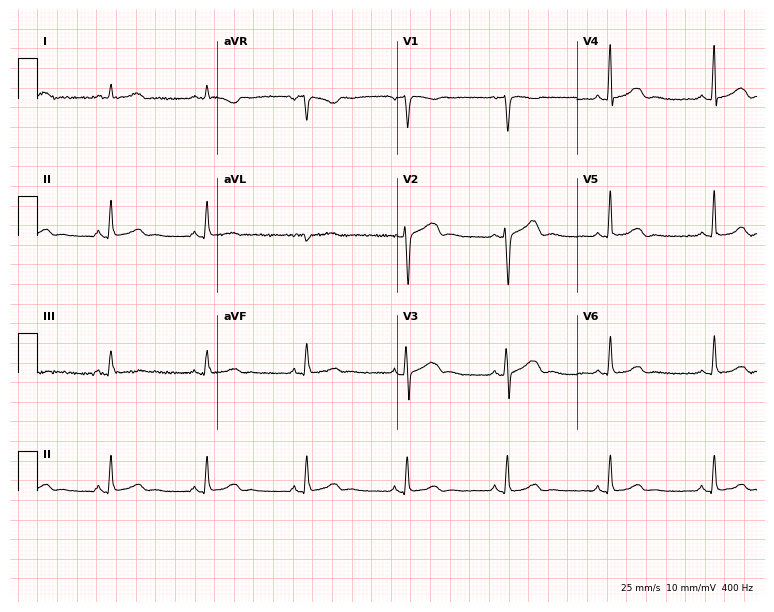
Standard 12-lead ECG recorded from a woman, 36 years old. None of these six findings is recorded: first-degree AV block, right bundle branch block (RBBB), left bundle branch block (LBBB), sinus bradycardia, atrial fibrillation (AF), sinus tachycardia. Only these six findings were labelled.